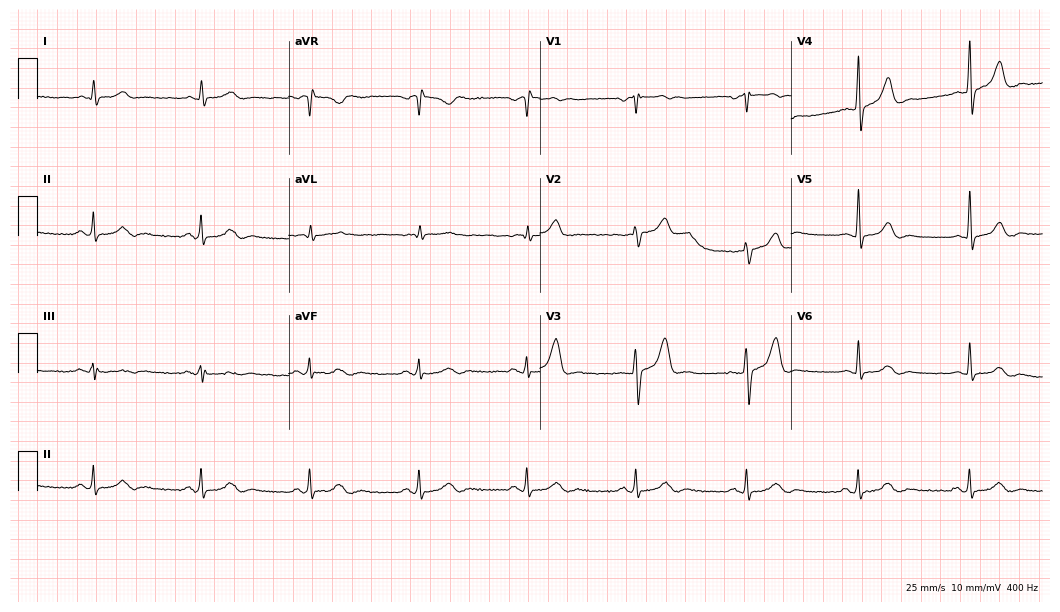
12-lead ECG from a man, 59 years old (10.2-second recording at 400 Hz). No first-degree AV block, right bundle branch block, left bundle branch block, sinus bradycardia, atrial fibrillation or sinus tachycardia recorded for this tracing.